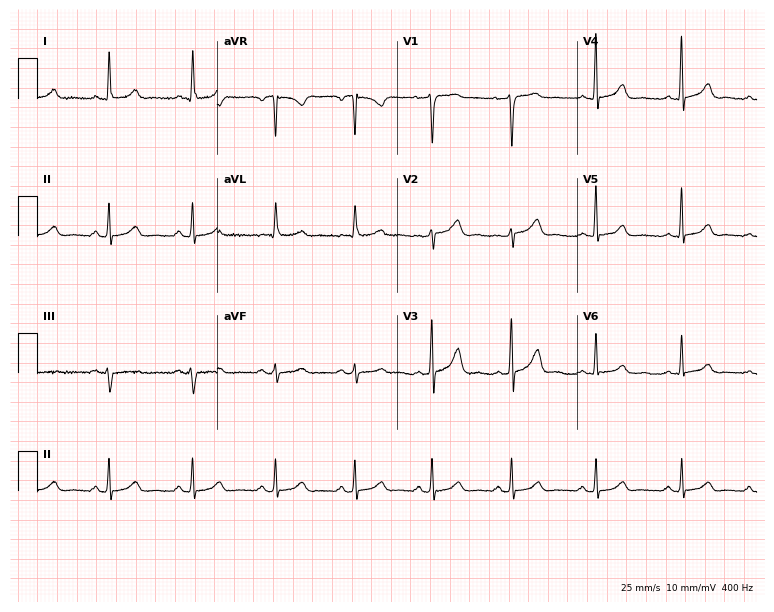
12-lead ECG (7.3-second recording at 400 Hz) from a female patient, 42 years old. Screened for six findings — first-degree AV block, right bundle branch block, left bundle branch block, sinus bradycardia, atrial fibrillation, sinus tachycardia — none is recorded.